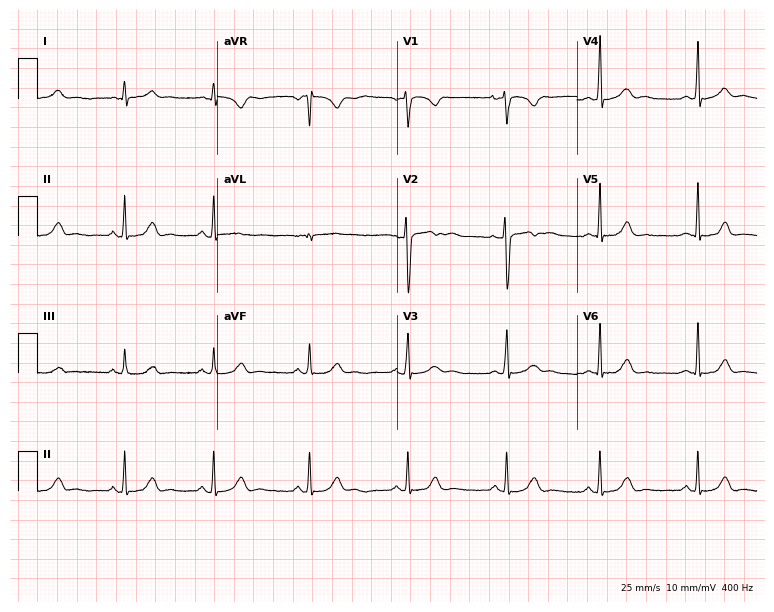
ECG — a 41-year-old female. Screened for six findings — first-degree AV block, right bundle branch block, left bundle branch block, sinus bradycardia, atrial fibrillation, sinus tachycardia — none is recorded.